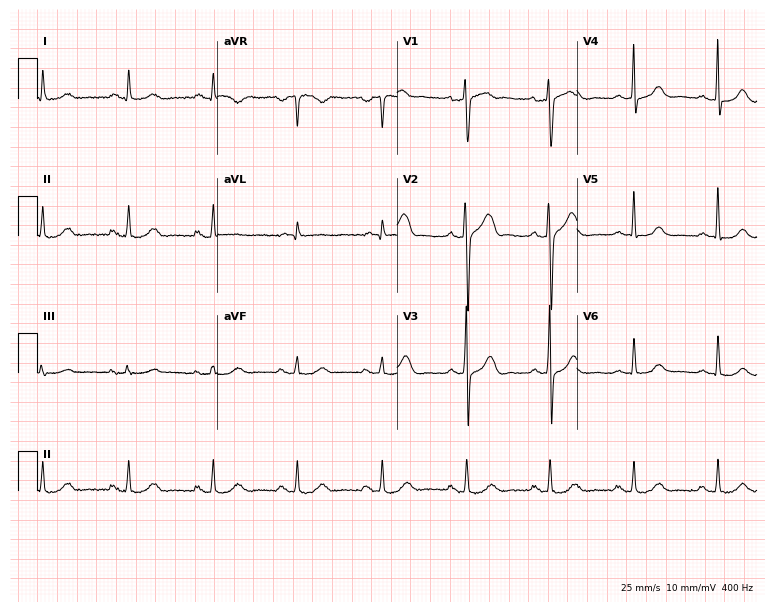
Standard 12-lead ECG recorded from a 65-year-old male (7.3-second recording at 400 Hz). None of these six findings is recorded: first-degree AV block, right bundle branch block, left bundle branch block, sinus bradycardia, atrial fibrillation, sinus tachycardia. Only these six findings were labelled.